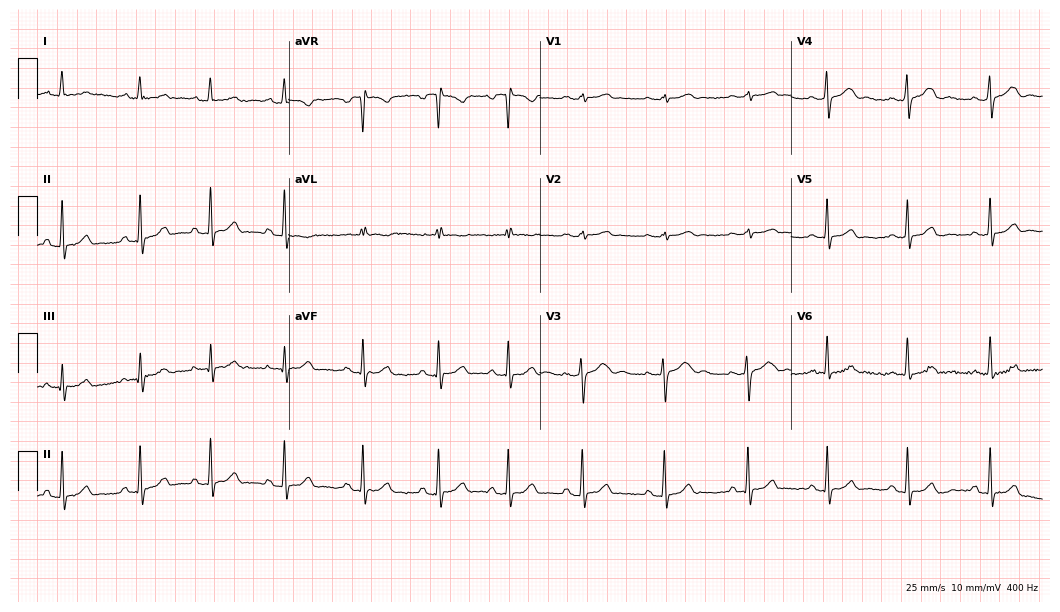
ECG (10.2-second recording at 400 Hz) — a female patient, 25 years old. Labelled as a normal ECG.